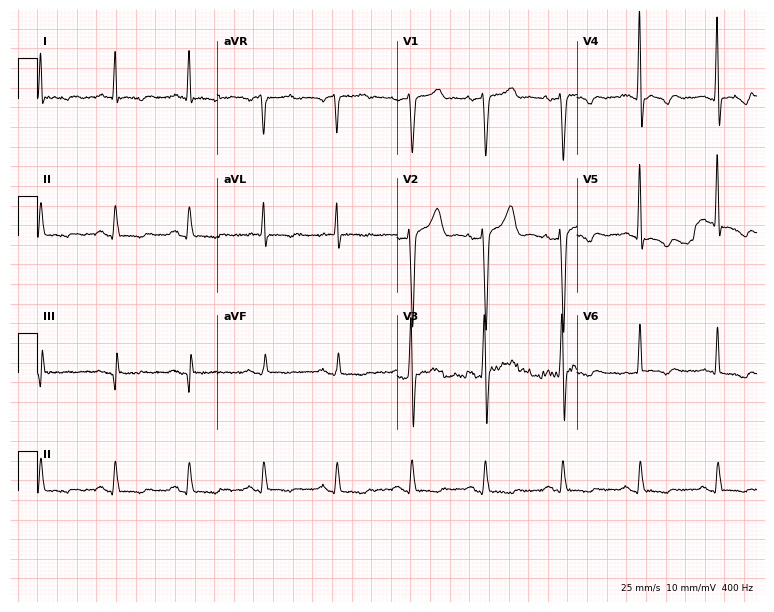
Resting 12-lead electrocardiogram. Patient: a male, 53 years old. None of these six findings is recorded: first-degree AV block, right bundle branch block, left bundle branch block, sinus bradycardia, atrial fibrillation, sinus tachycardia. Other findings, if any, are not listed.